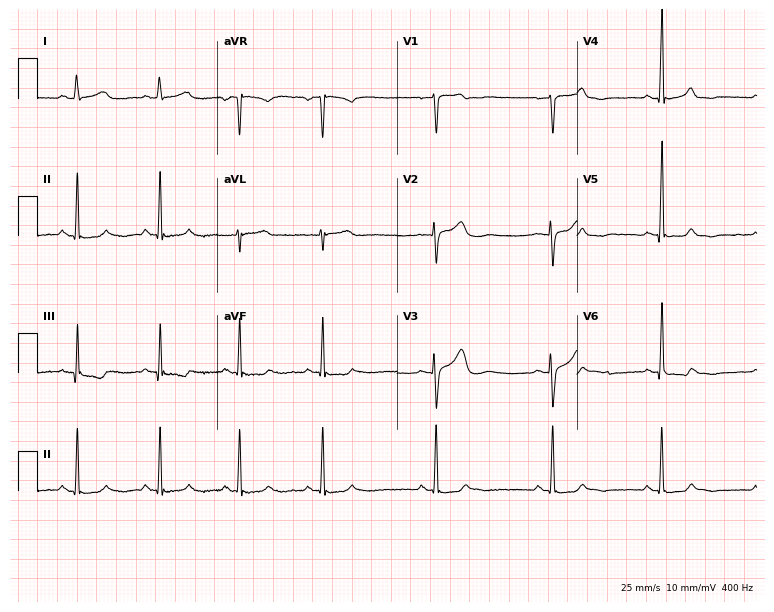
12-lead ECG from a 49-year-old female. Recorded interpretation: within normal limits.